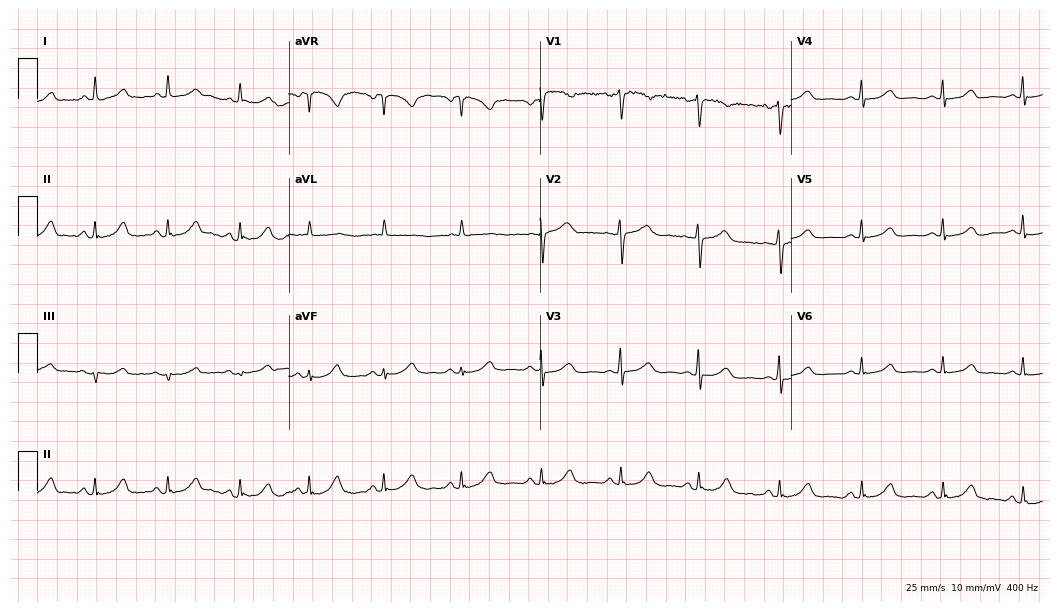
Resting 12-lead electrocardiogram (10.2-second recording at 400 Hz). Patient: a man, 44 years old. Read as a normal ECG.